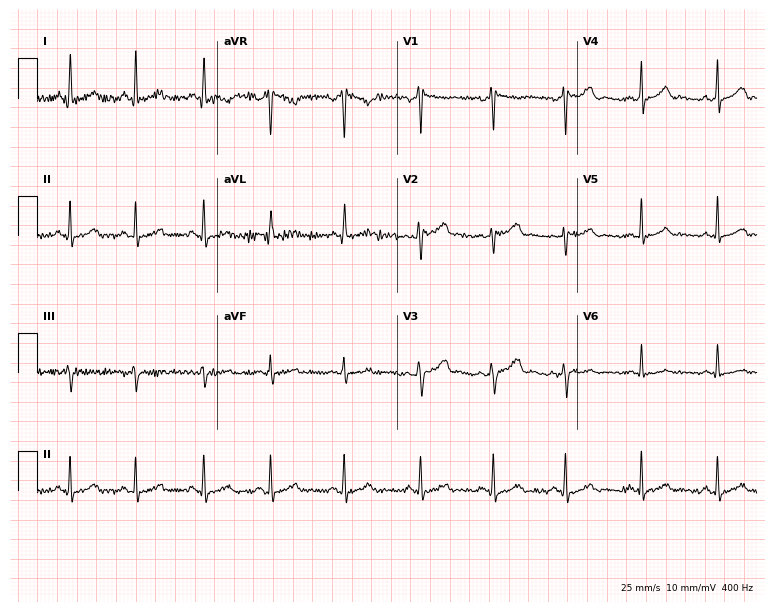
Standard 12-lead ECG recorded from a 41-year-old female patient. Read as a normal ECG.